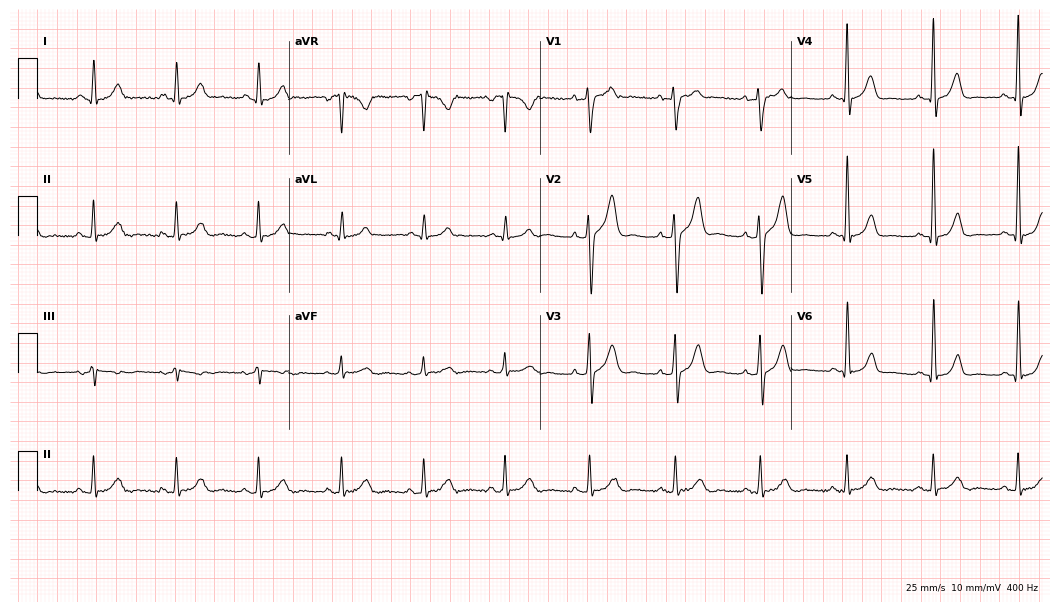
12-lead ECG from a 40-year-old male patient. Recorded interpretation: within normal limits.